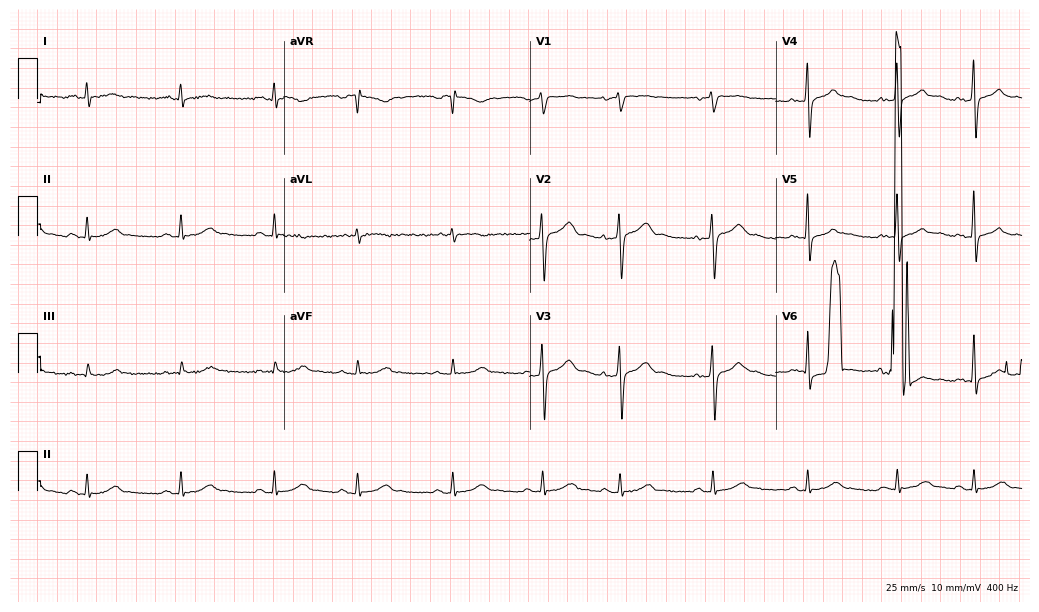
12-lead ECG from a male, 55 years old. Labelled as a normal ECG.